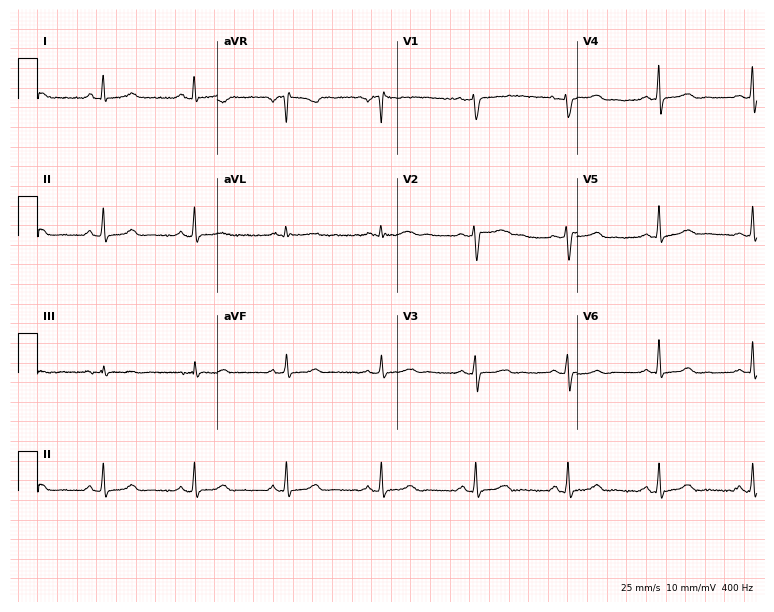
Electrocardiogram (7.3-second recording at 400 Hz), a female, 50 years old. Overall reading on record: normal ECG.